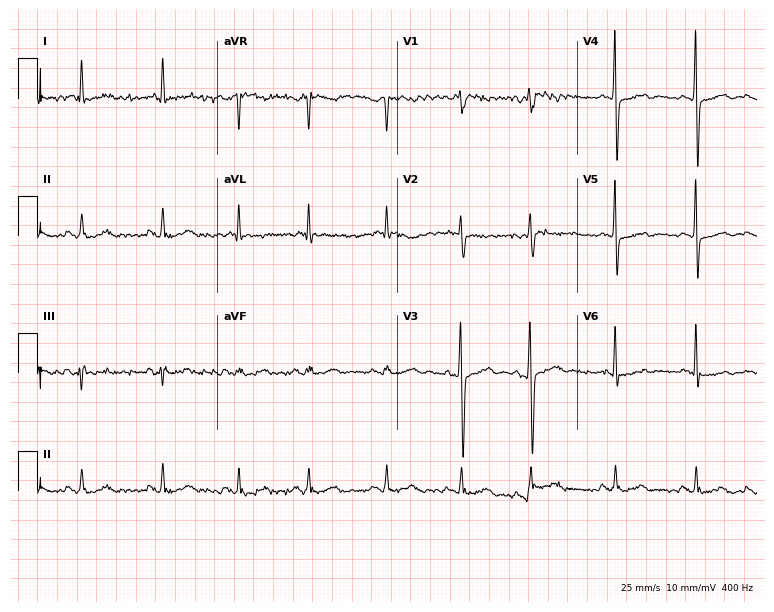
Resting 12-lead electrocardiogram (7.3-second recording at 400 Hz). Patient: a female, 69 years old. None of these six findings is recorded: first-degree AV block, right bundle branch block, left bundle branch block, sinus bradycardia, atrial fibrillation, sinus tachycardia.